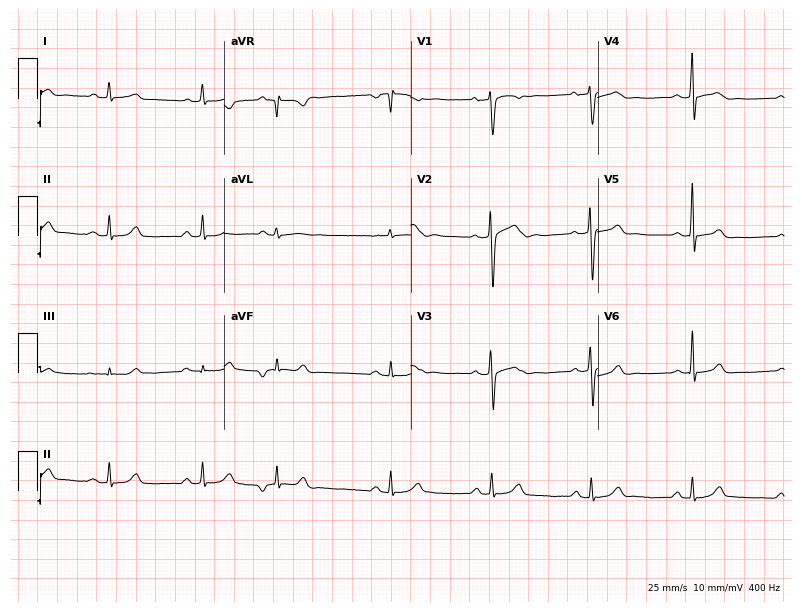
12-lead ECG from a 29-year-old female patient (7.6-second recording at 400 Hz). Recorded interpretation: within normal limits.